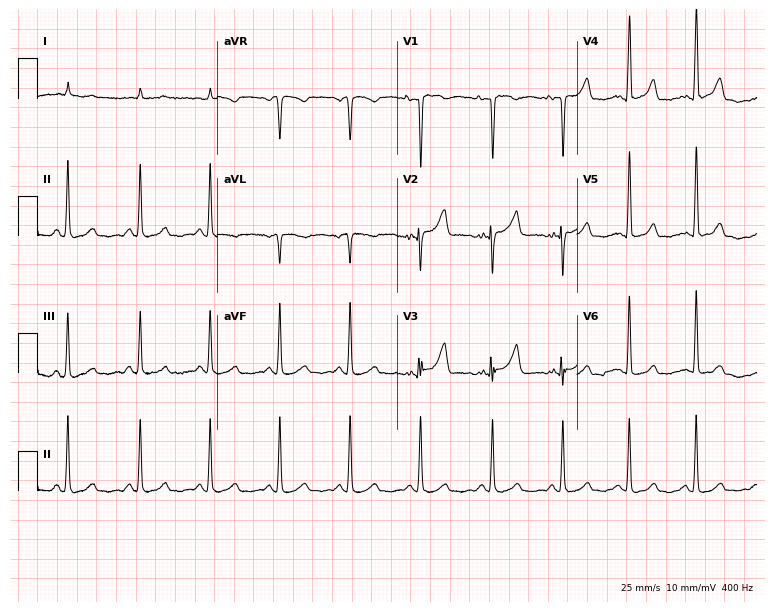
12-lead ECG from a woman, 79 years old. No first-degree AV block, right bundle branch block (RBBB), left bundle branch block (LBBB), sinus bradycardia, atrial fibrillation (AF) or sinus tachycardia recorded for this tracing.